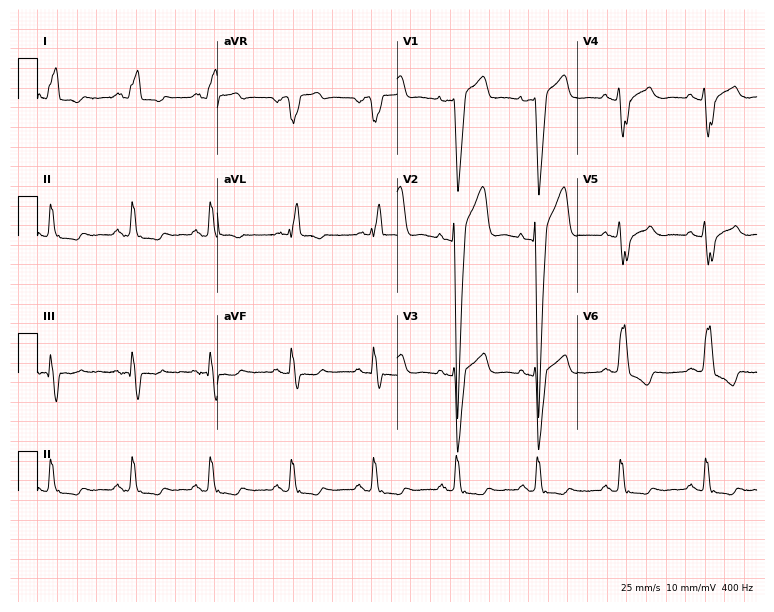
Electrocardiogram, a 56-year-old male. Interpretation includes left bundle branch block.